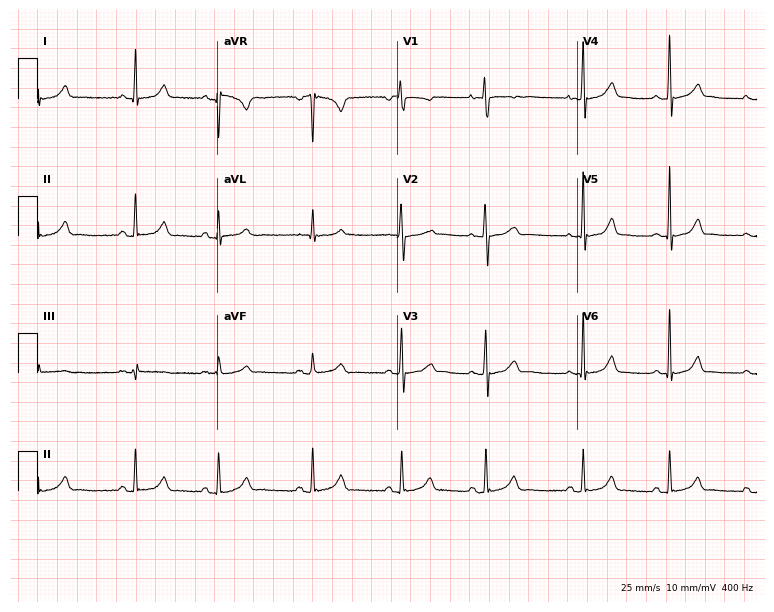
Standard 12-lead ECG recorded from a man, 33 years old (7.3-second recording at 400 Hz). Read as a normal ECG.